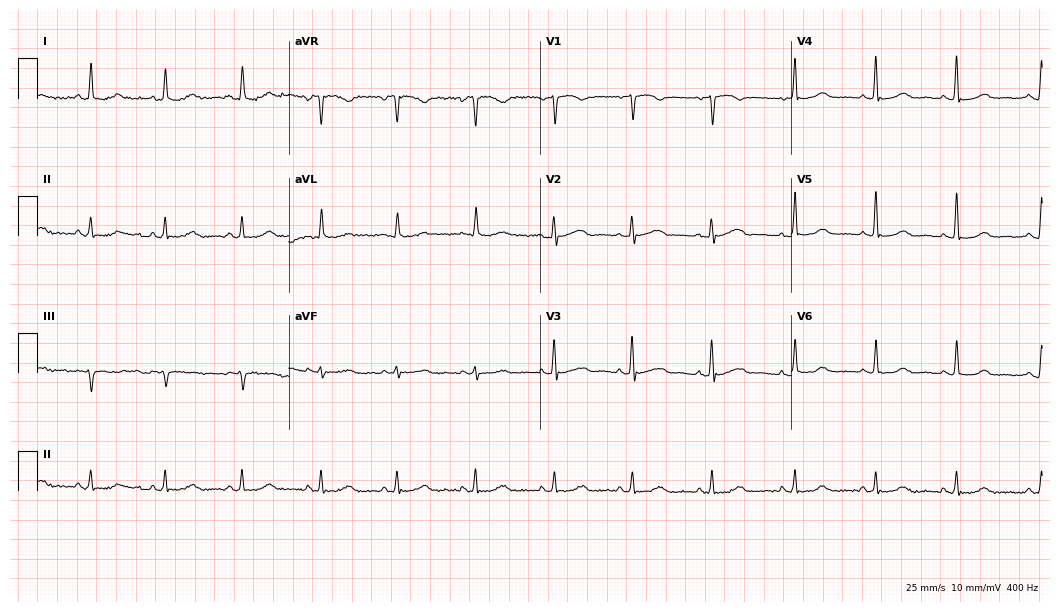
Standard 12-lead ECG recorded from a 55-year-old woman (10.2-second recording at 400 Hz). None of these six findings is recorded: first-degree AV block, right bundle branch block, left bundle branch block, sinus bradycardia, atrial fibrillation, sinus tachycardia. Findings outside these six are not listed.